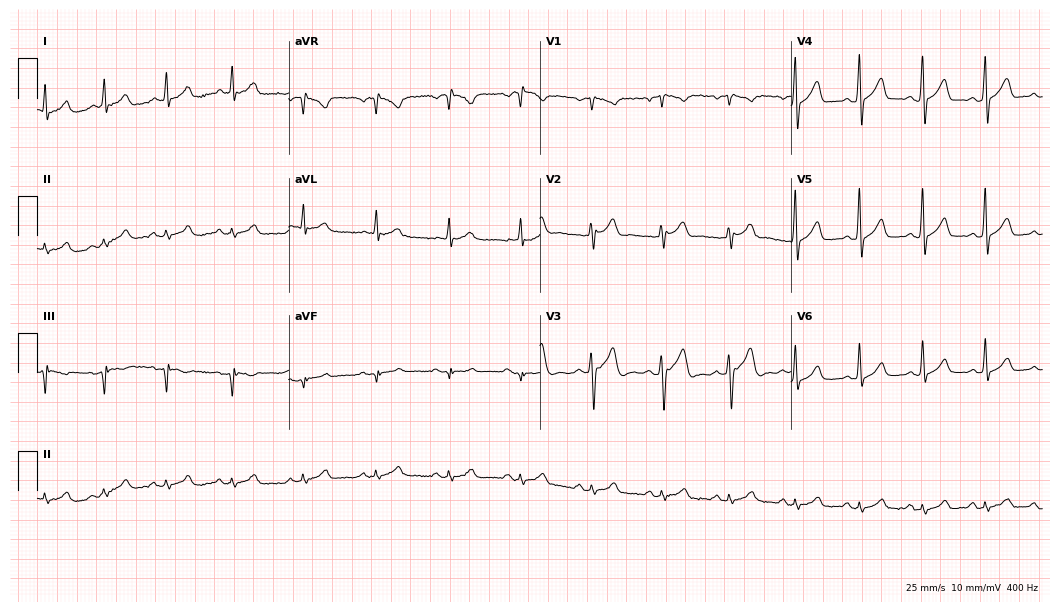
12-lead ECG from a man, 48 years old (10.2-second recording at 400 Hz). No first-degree AV block, right bundle branch block, left bundle branch block, sinus bradycardia, atrial fibrillation or sinus tachycardia recorded for this tracing.